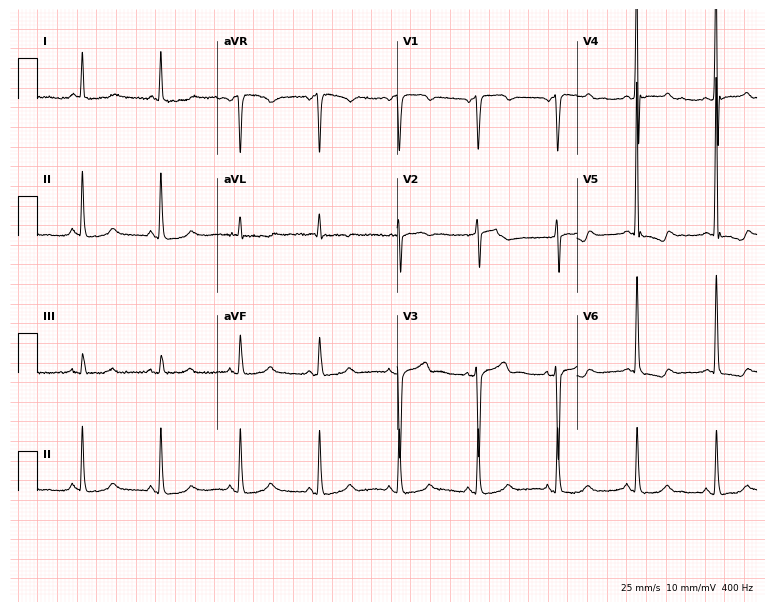
Resting 12-lead electrocardiogram (7.3-second recording at 400 Hz). Patient: a man, 71 years old. None of these six findings is recorded: first-degree AV block, right bundle branch block, left bundle branch block, sinus bradycardia, atrial fibrillation, sinus tachycardia.